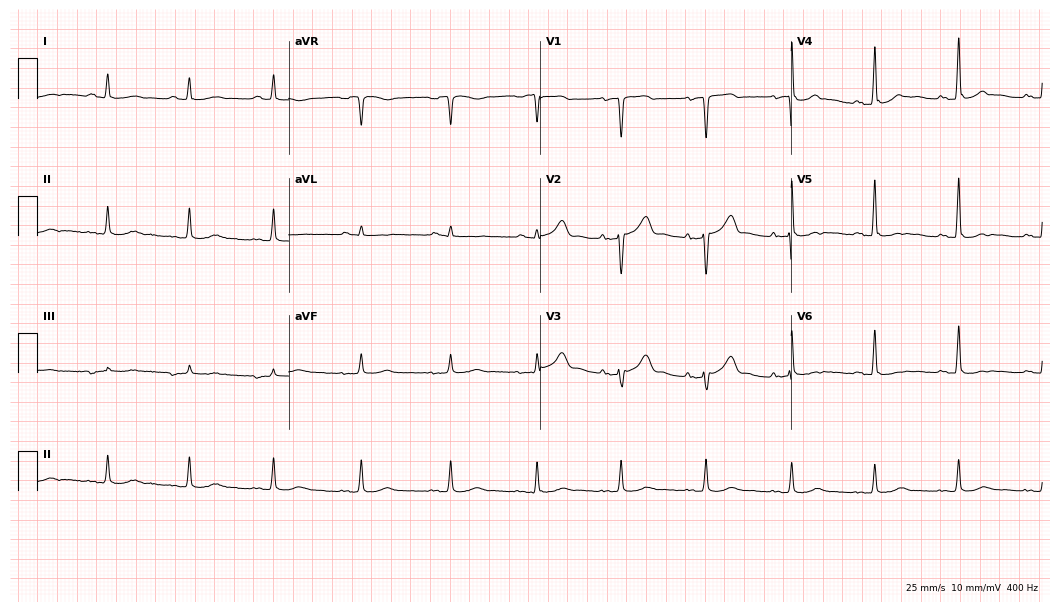
12-lead ECG from a 67-year-old male. Screened for six findings — first-degree AV block, right bundle branch block, left bundle branch block, sinus bradycardia, atrial fibrillation, sinus tachycardia — none is recorded. Findings outside these six are not listed.